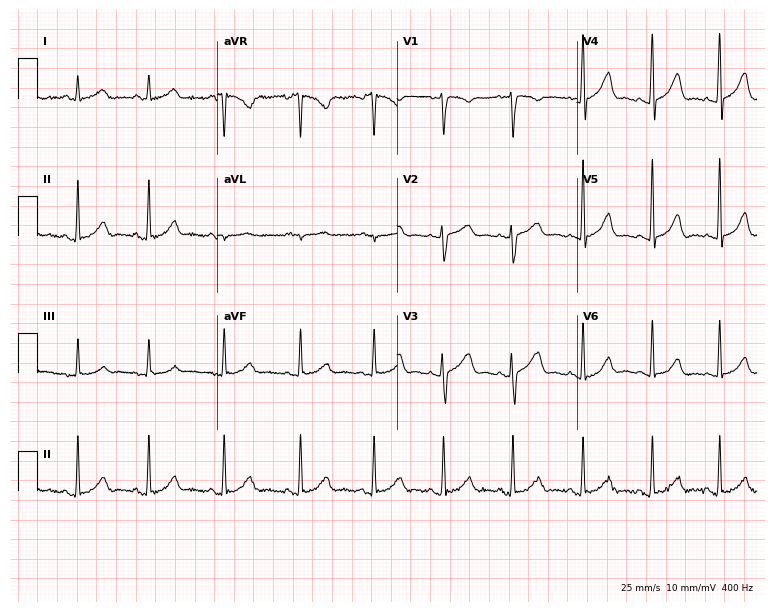
12-lead ECG from a 33-year-old woman (7.3-second recording at 400 Hz). No first-degree AV block, right bundle branch block, left bundle branch block, sinus bradycardia, atrial fibrillation or sinus tachycardia recorded for this tracing. Other findings, if any, are not listed.